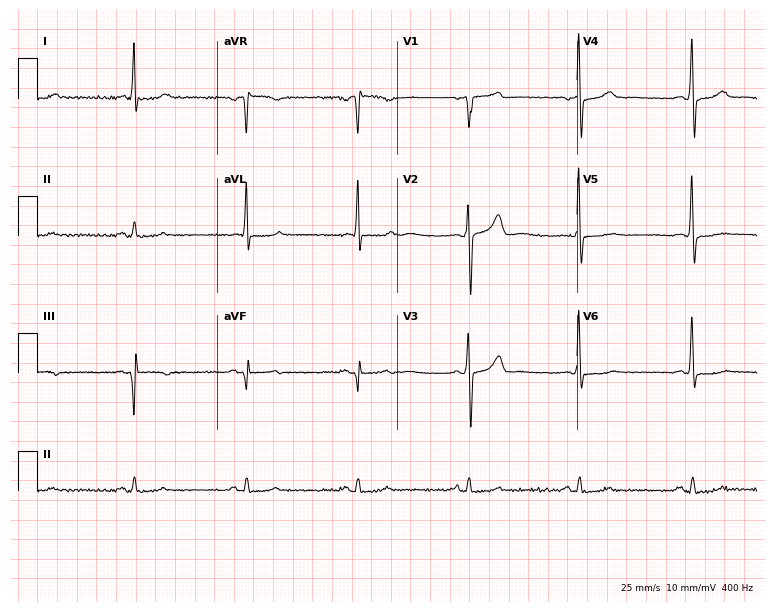
12-lead ECG (7.3-second recording at 400 Hz) from a woman, 55 years old. Screened for six findings — first-degree AV block, right bundle branch block (RBBB), left bundle branch block (LBBB), sinus bradycardia, atrial fibrillation (AF), sinus tachycardia — none is recorded. Findings outside these six are not listed.